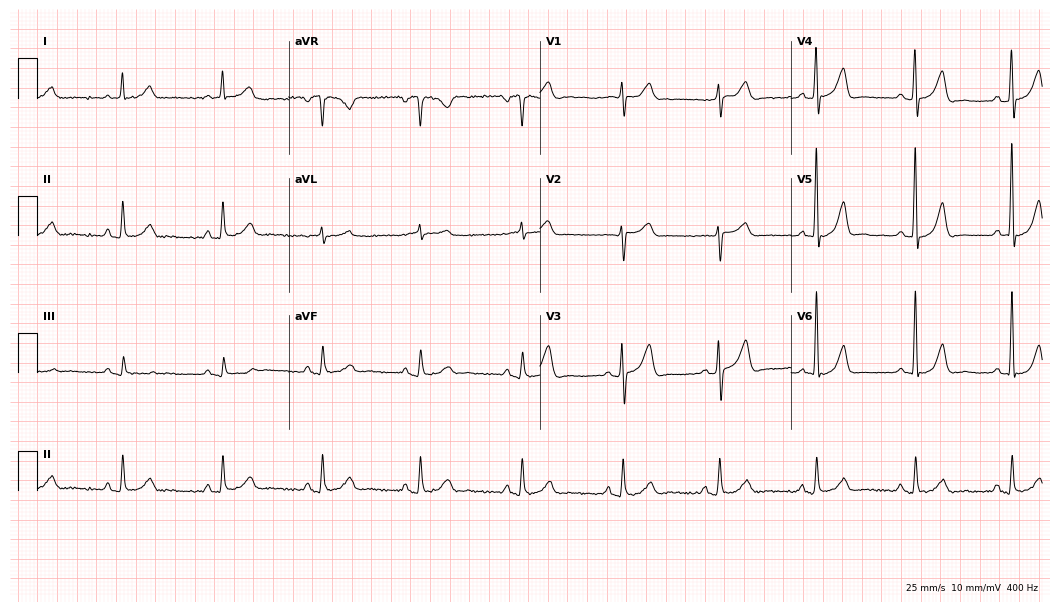
Electrocardiogram, a male, 70 years old. Overall reading on record: normal ECG.